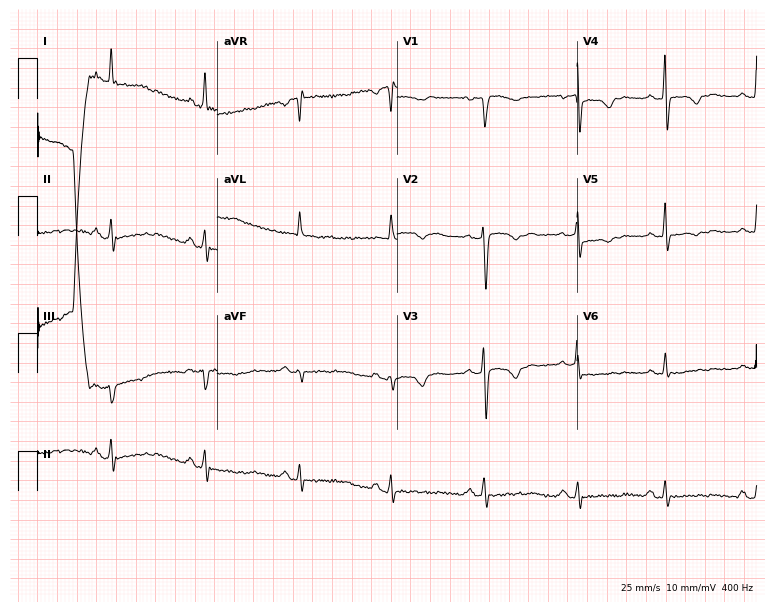
Resting 12-lead electrocardiogram (7.3-second recording at 400 Hz). Patient: a female, 35 years old. None of these six findings is recorded: first-degree AV block, right bundle branch block (RBBB), left bundle branch block (LBBB), sinus bradycardia, atrial fibrillation (AF), sinus tachycardia.